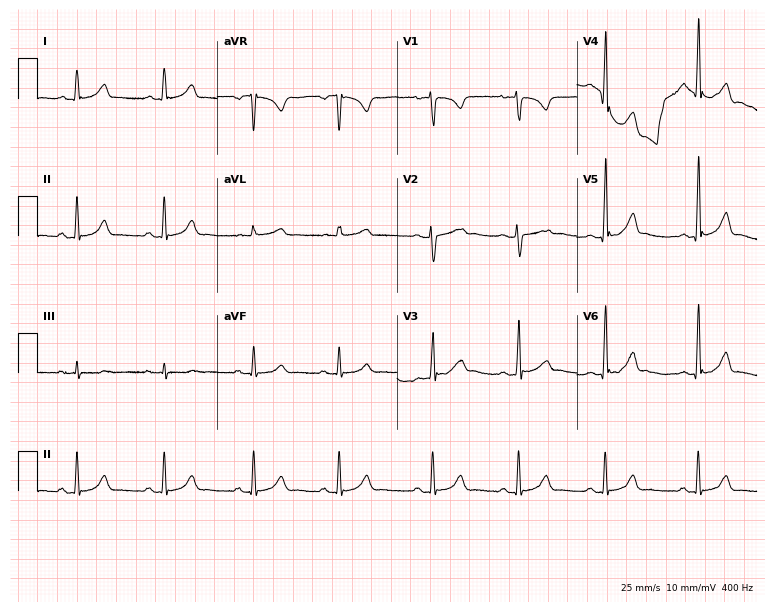
Resting 12-lead electrocardiogram (7.3-second recording at 400 Hz). Patient: a female, 23 years old. None of these six findings is recorded: first-degree AV block, right bundle branch block (RBBB), left bundle branch block (LBBB), sinus bradycardia, atrial fibrillation (AF), sinus tachycardia. Other findings, if any, are not listed.